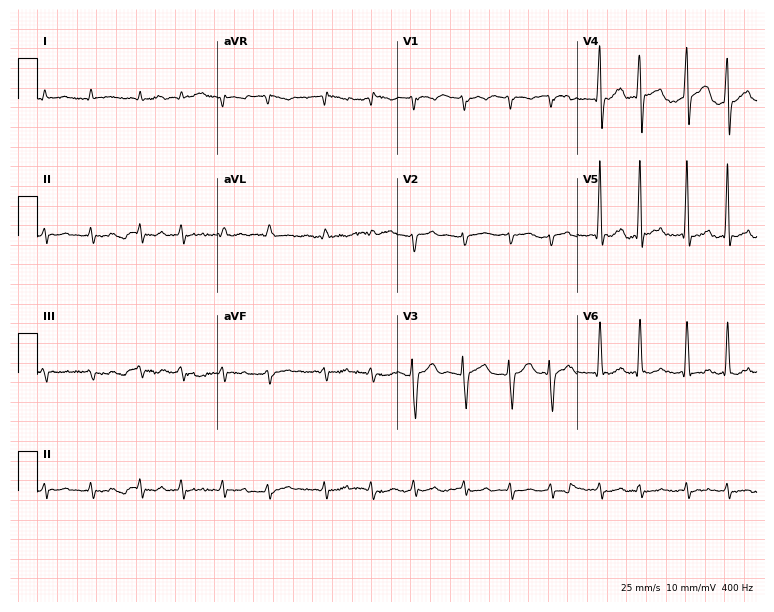
Resting 12-lead electrocardiogram. Patient: an 81-year-old male. None of these six findings is recorded: first-degree AV block, right bundle branch block, left bundle branch block, sinus bradycardia, atrial fibrillation, sinus tachycardia.